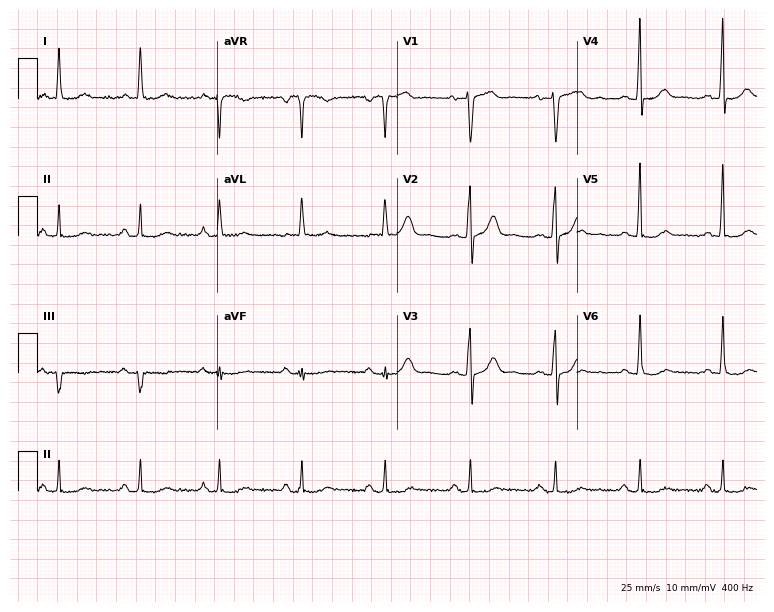
Electrocardiogram, a 67-year-old man. Of the six screened findings (first-degree AV block, right bundle branch block (RBBB), left bundle branch block (LBBB), sinus bradycardia, atrial fibrillation (AF), sinus tachycardia), none is recorded. Findings outside these six are not listed.